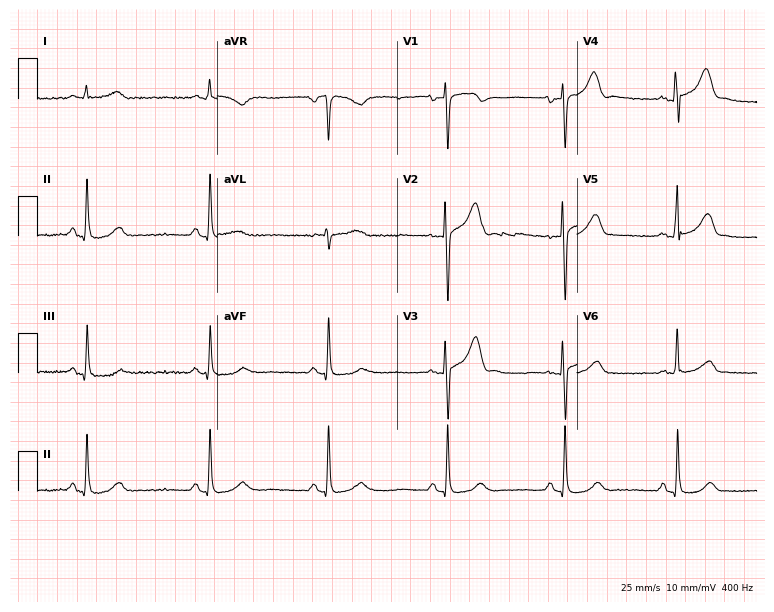
Standard 12-lead ECG recorded from a male patient, 61 years old (7.3-second recording at 400 Hz). Read as a normal ECG.